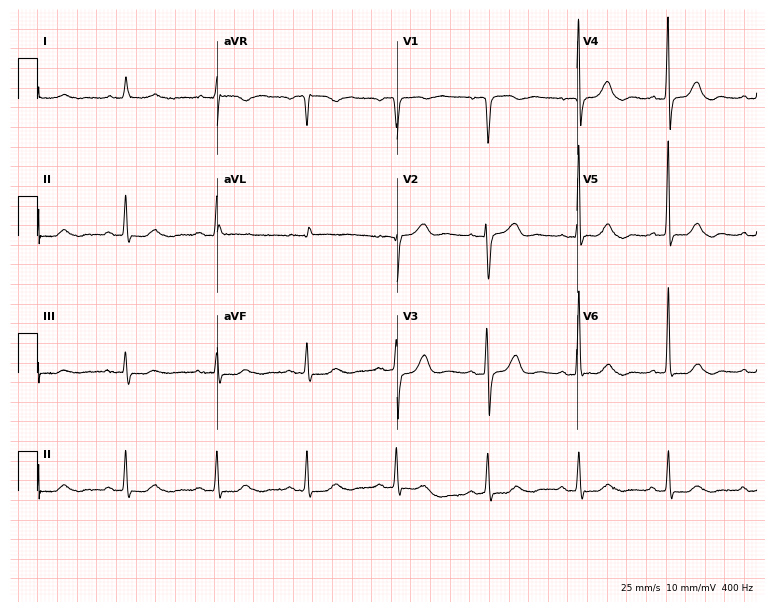
ECG — a male patient, 80 years old. Labelled as a normal ECG.